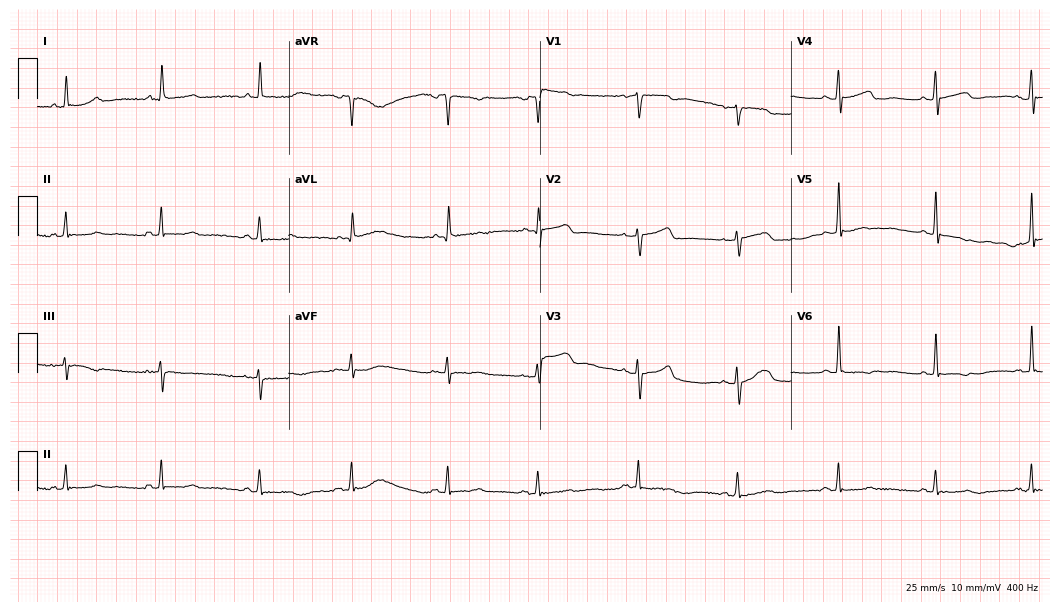
12-lead ECG from a 70-year-old female. Labelled as a normal ECG.